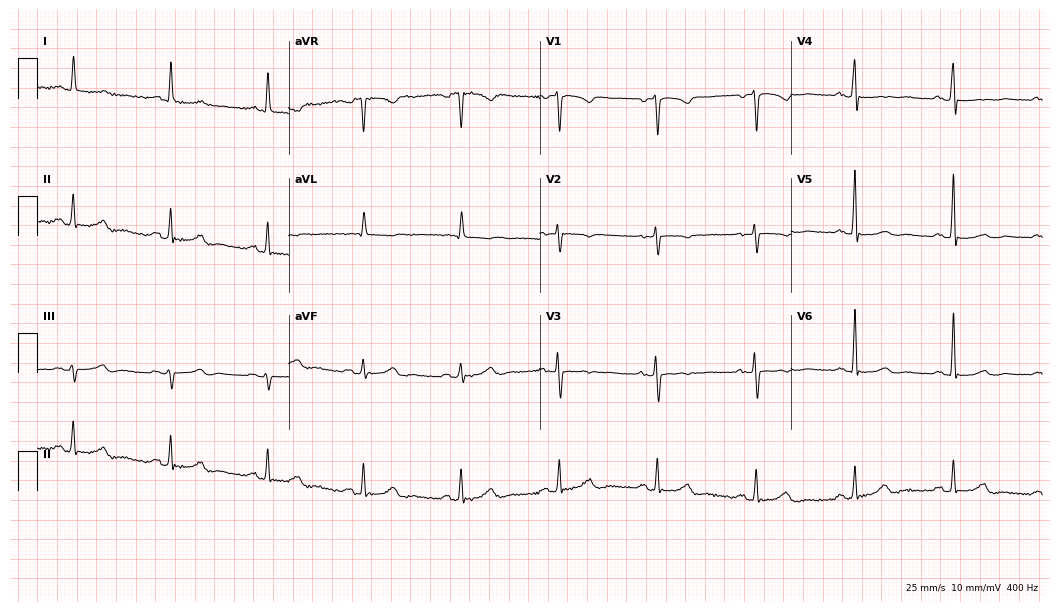
12-lead ECG from a 71-year-old woman. No first-degree AV block, right bundle branch block, left bundle branch block, sinus bradycardia, atrial fibrillation or sinus tachycardia recorded for this tracing.